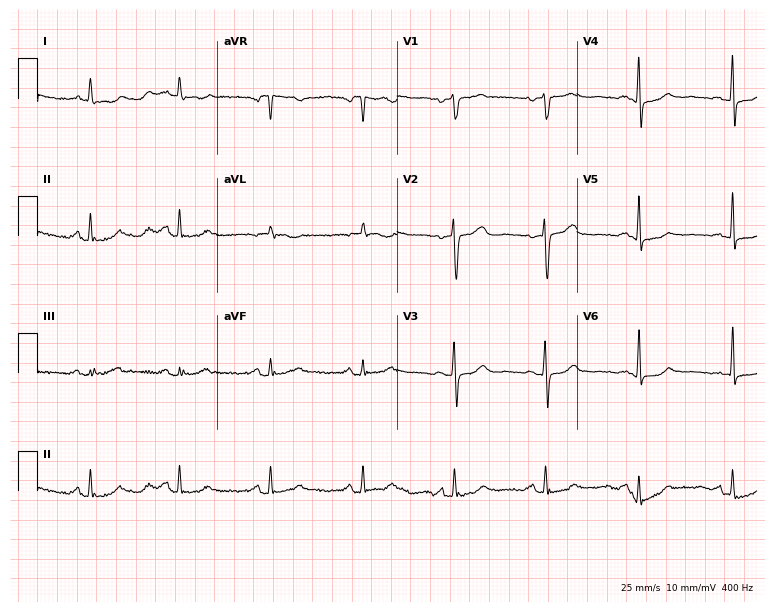
Resting 12-lead electrocardiogram. Patient: a female, 72 years old. Read as a normal ECG.